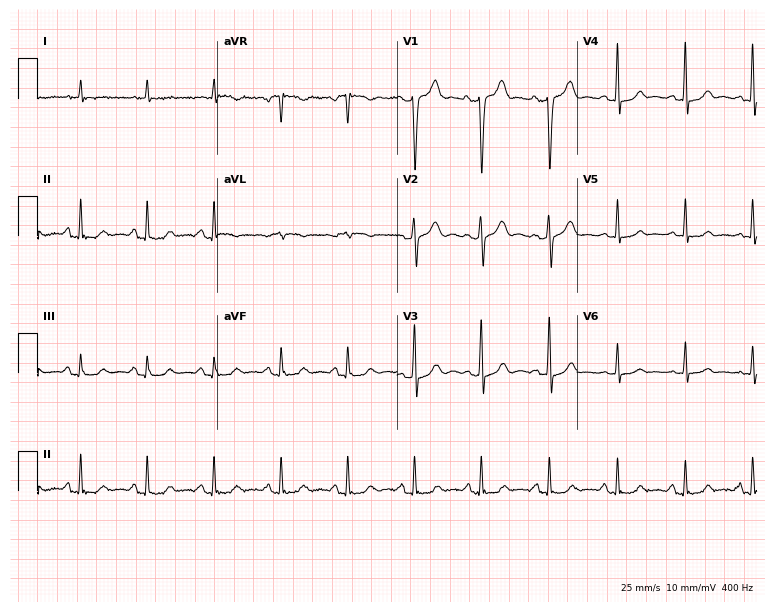
12-lead ECG (7.3-second recording at 400 Hz) from a male patient, 70 years old. Screened for six findings — first-degree AV block, right bundle branch block, left bundle branch block, sinus bradycardia, atrial fibrillation, sinus tachycardia — none is recorded. Other findings, if any, are not listed.